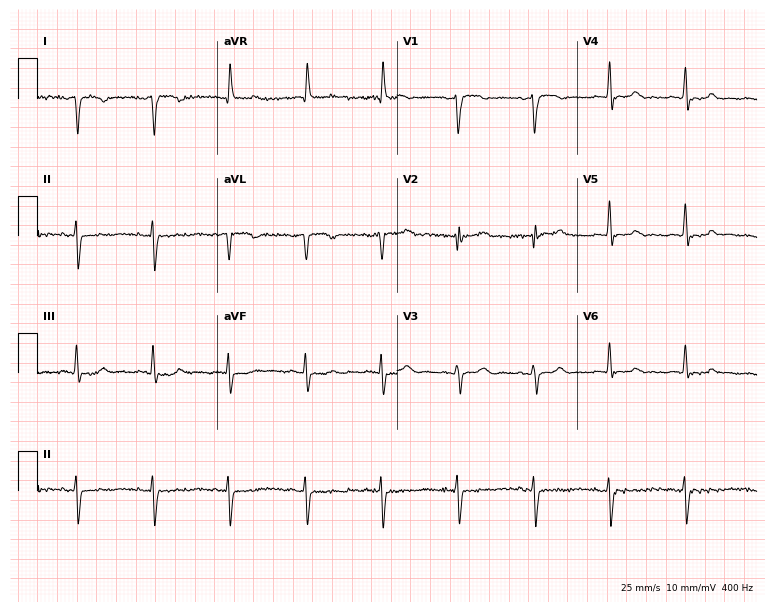
12-lead ECG (7.3-second recording at 400 Hz) from a 76-year-old female. Screened for six findings — first-degree AV block, right bundle branch block (RBBB), left bundle branch block (LBBB), sinus bradycardia, atrial fibrillation (AF), sinus tachycardia — none is recorded.